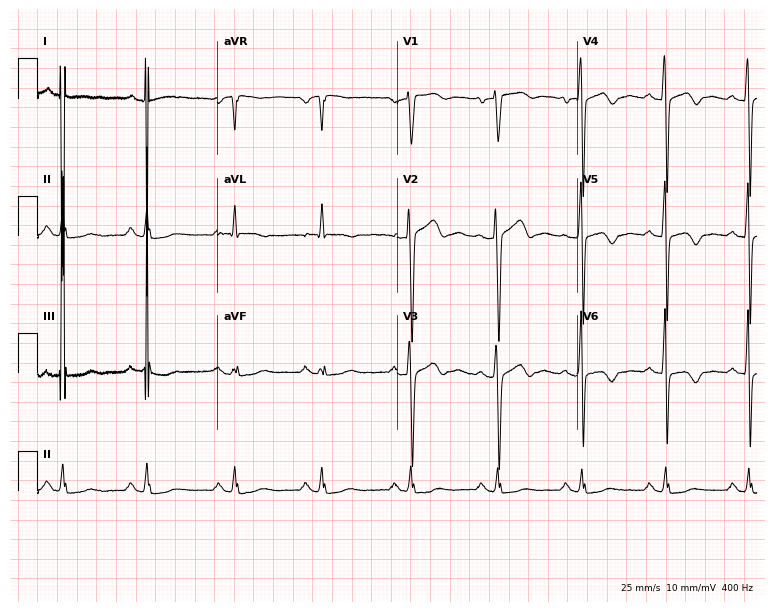
Electrocardiogram, a male patient, 69 years old. Of the six screened findings (first-degree AV block, right bundle branch block, left bundle branch block, sinus bradycardia, atrial fibrillation, sinus tachycardia), none is recorded.